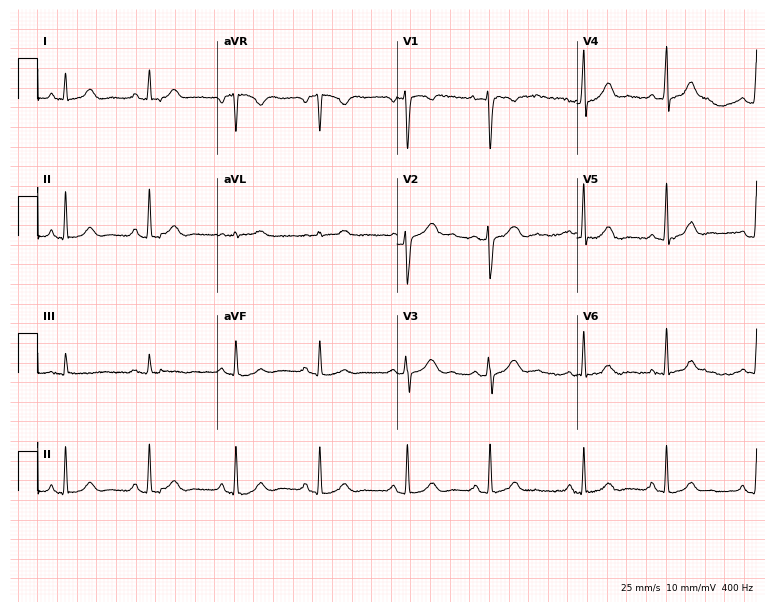
ECG — a female, 27 years old. Screened for six findings — first-degree AV block, right bundle branch block, left bundle branch block, sinus bradycardia, atrial fibrillation, sinus tachycardia — none is recorded. Other findings, if any, are not listed.